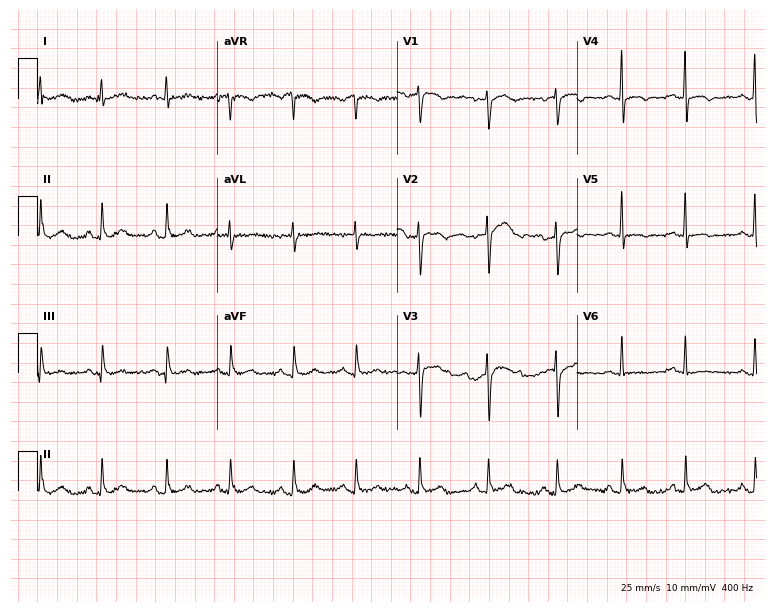
12-lead ECG from a woman, 60 years old. No first-degree AV block, right bundle branch block (RBBB), left bundle branch block (LBBB), sinus bradycardia, atrial fibrillation (AF) or sinus tachycardia recorded for this tracing.